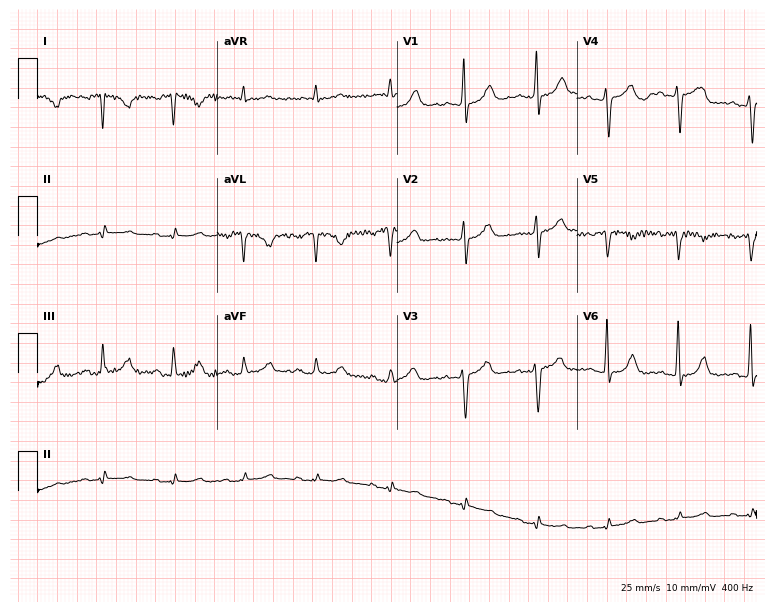
Resting 12-lead electrocardiogram (7.3-second recording at 400 Hz). Patient: a 46-year-old female. None of these six findings is recorded: first-degree AV block, right bundle branch block, left bundle branch block, sinus bradycardia, atrial fibrillation, sinus tachycardia.